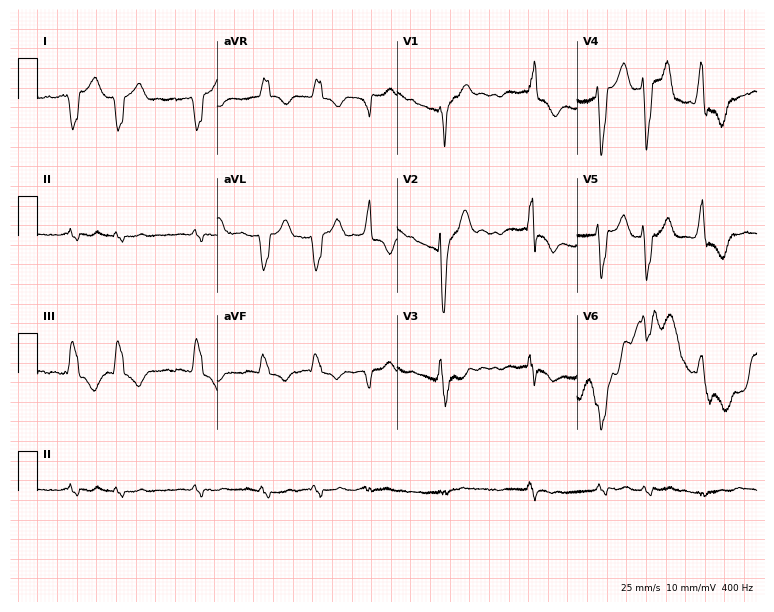
Standard 12-lead ECG recorded from a man, 84 years old. None of these six findings is recorded: first-degree AV block, right bundle branch block, left bundle branch block, sinus bradycardia, atrial fibrillation, sinus tachycardia. Findings outside these six are not listed.